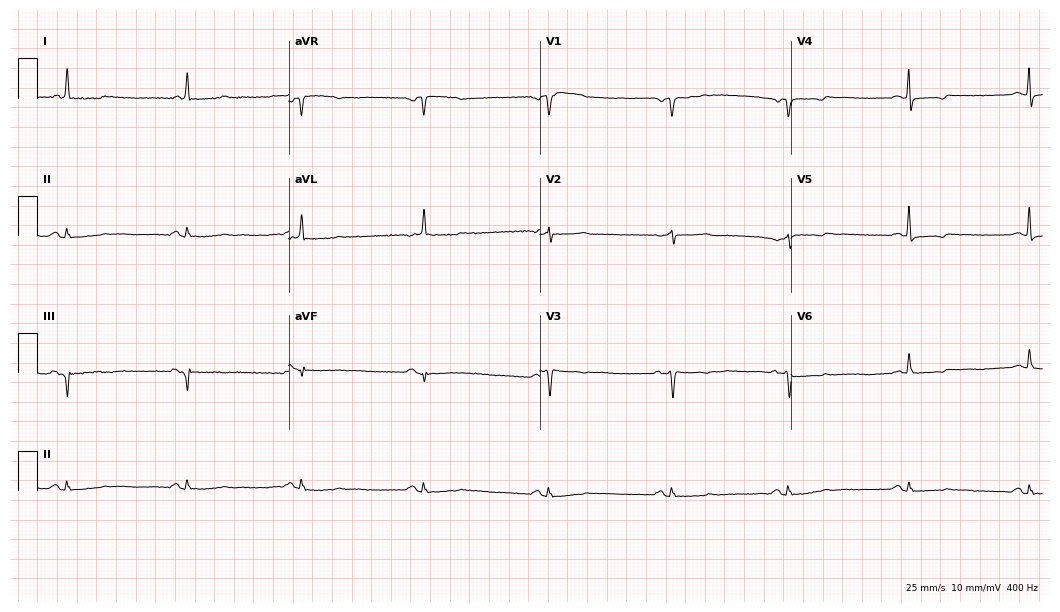
ECG (10.2-second recording at 400 Hz) — a female, 60 years old. Screened for six findings — first-degree AV block, right bundle branch block (RBBB), left bundle branch block (LBBB), sinus bradycardia, atrial fibrillation (AF), sinus tachycardia — none is recorded.